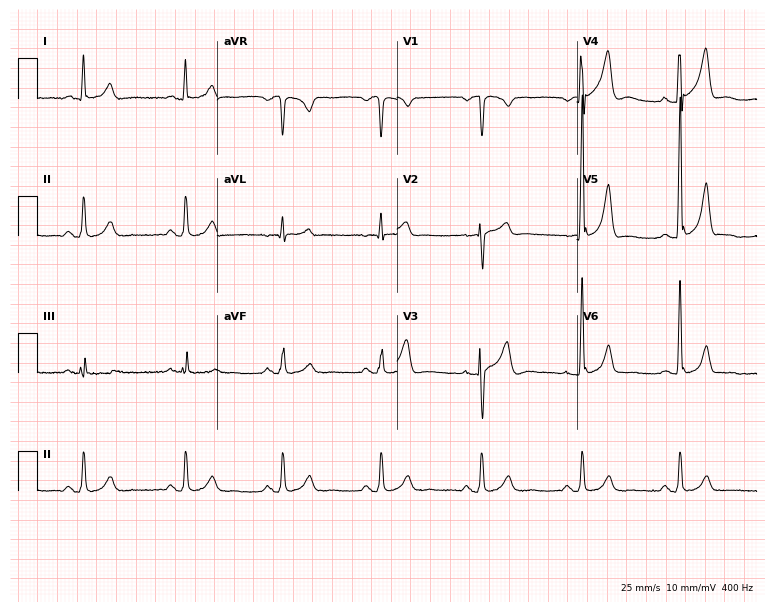
12-lead ECG from a 56-year-old male. Labelled as a normal ECG.